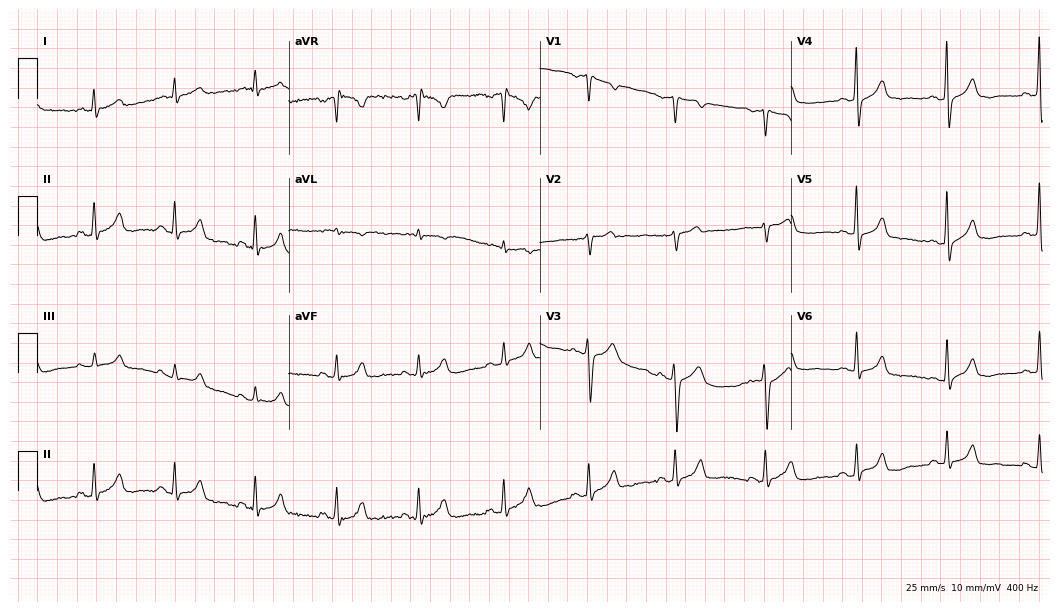
12-lead ECG from a male patient, 44 years old (10.2-second recording at 400 Hz). Recorded interpretation: within normal limits.